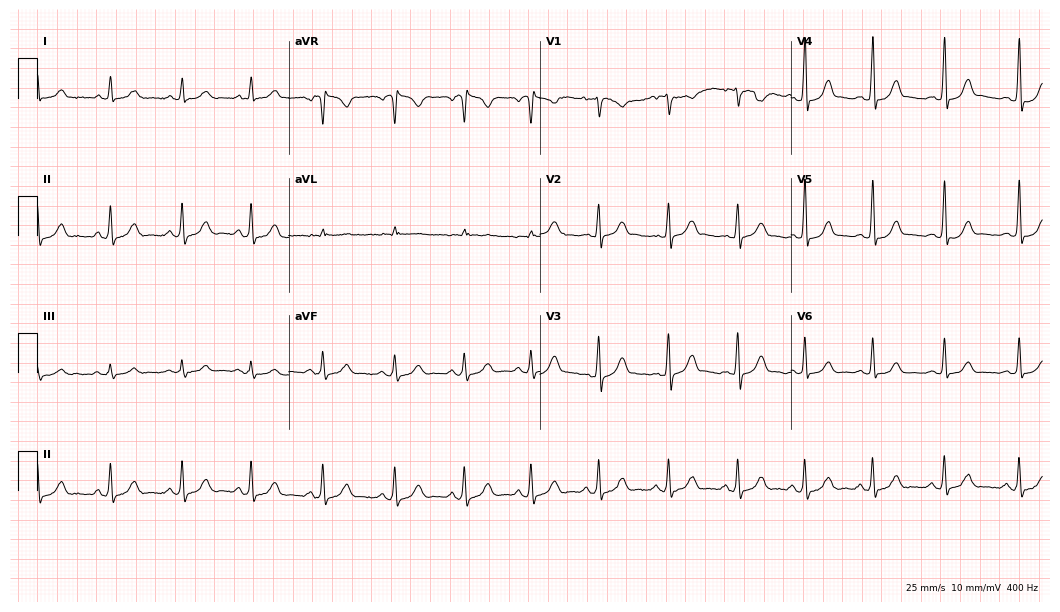
12-lead ECG from a female, 24 years old. Labelled as a normal ECG.